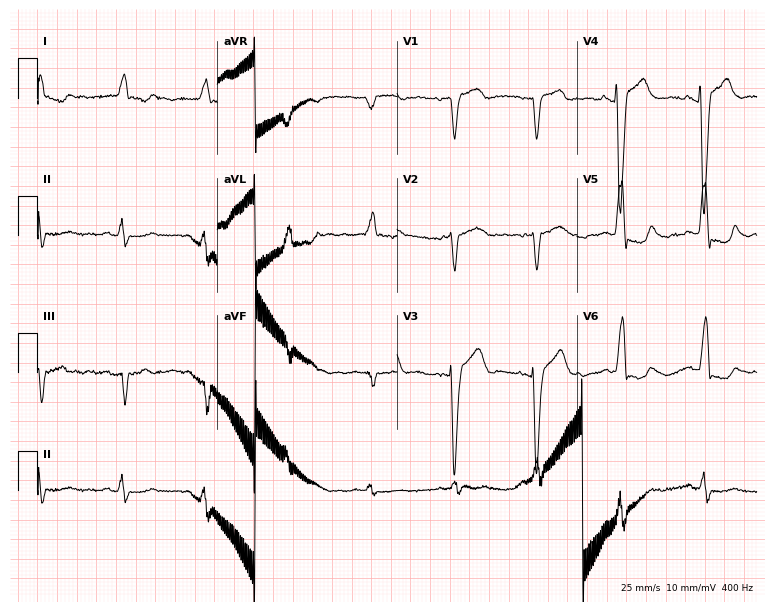
12-lead ECG (7.3-second recording at 400 Hz) from a woman, 82 years old. Screened for six findings — first-degree AV block, right bundle branch block, left bundle branch block, sinus bradycardia, atrial fibrillation, sinus tachycardia — none is recorded.